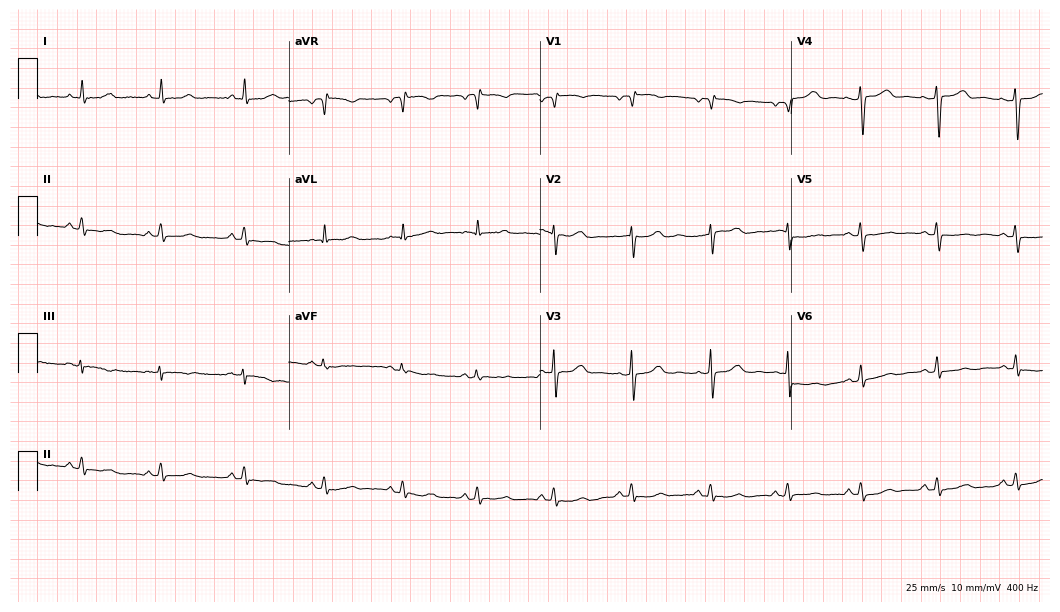
12-lead ECG from a 56-year-old woman. Screened for six findings — first-degree AV block, right bundle branch block (RBBB), left bundle branch block (LBBB), sinus bradycardia, atrial fibrillation (AF), sinus tachycardia — none is recorded. Other findings, if any, are not listed.